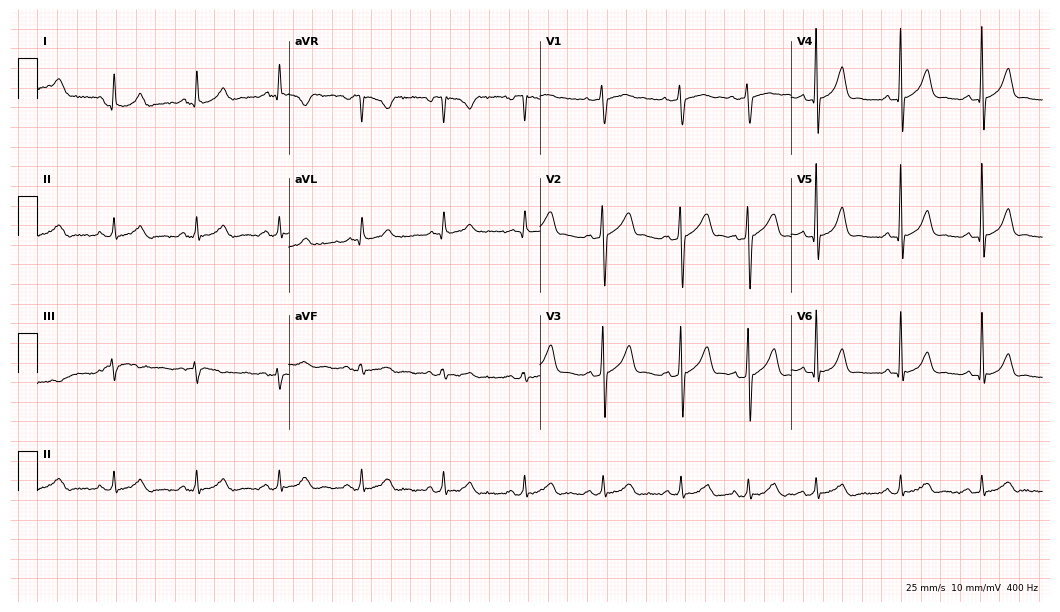
12-lead ECG from a 46-year-old man (10.2-second recording at 400 Hz). No first-degree AV block, right bundle branch block (RBBB), left bundle branch block (LBBB), sinus bradycardia, atrial fibrillation (AF) or sinus tachycardia recorded for this tracing. Findings outside these six are not listed.